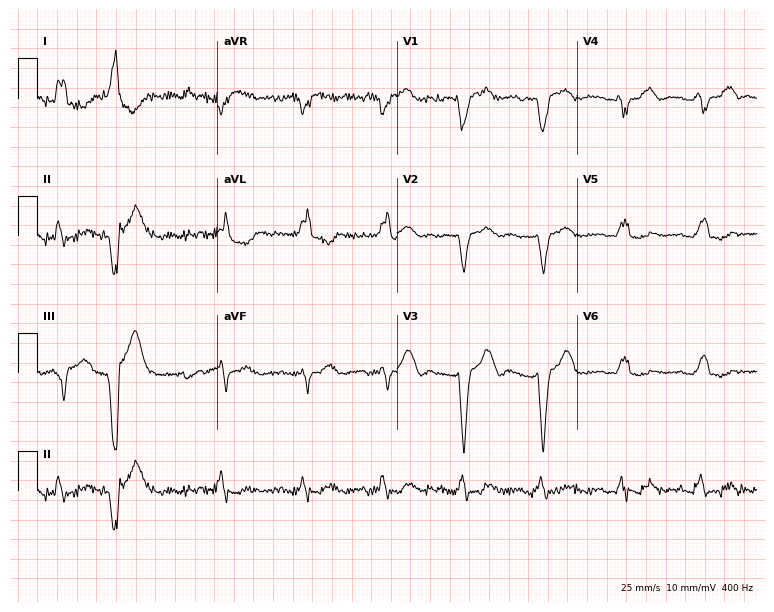
12-lead ECG from an 84-year-old woman (7.3-second recording at 400 Hz). No first-degree AV block, right bundle branch block, left bundle branch block, sinus bradycardia, atrial fibrillation or sinus tachycardia recorded for this tracing. Only these six findings were labelled.